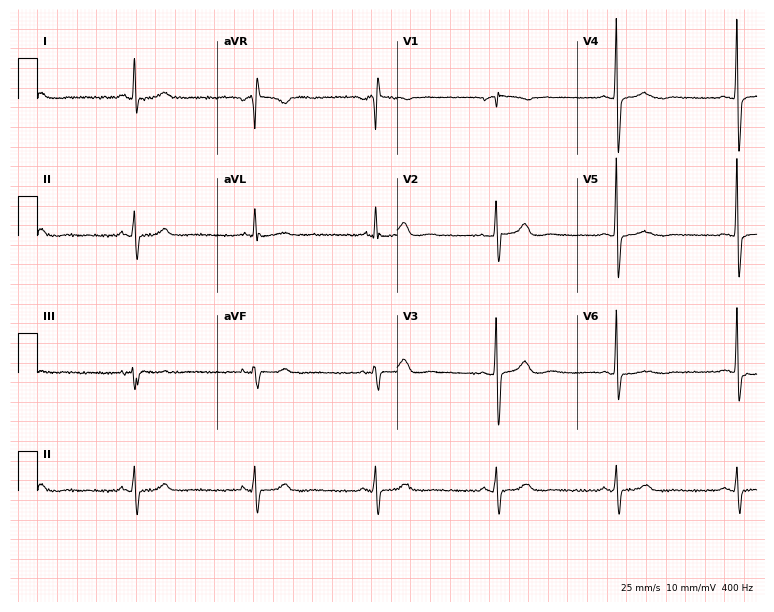
Resting 12-lead electrocardiogram. Patient: a 70-year-old female. The tracing shows sinus bradycardia (a sinus rate of 50 beats per minute or less).